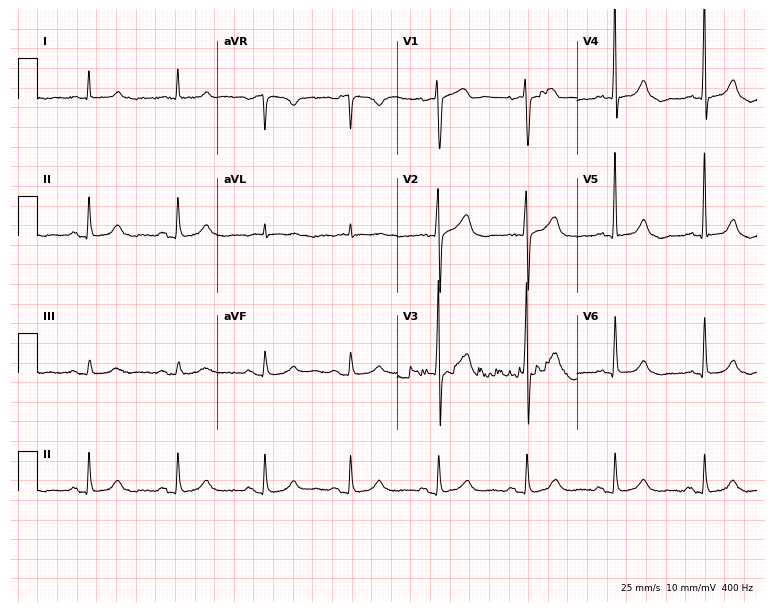
Standard 12-lead ECG recorded from a man, 77 years old. None of these six findings is recorded: first-degree AV block, right bundle branch block (RBBB), left bundle branch block (LBBB), sinus bradycardia, atrial fibrillation (AF), sinus tachycardia.